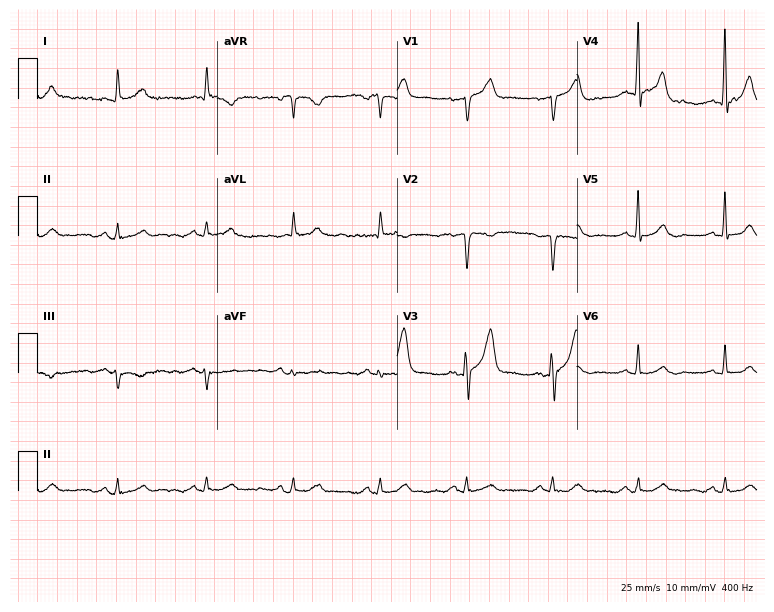
Electrocardiogram, a male, 83 years old. Of the six screened findings (first-degree AV block, right bundle branch block, left bundle branch block, sinus bradycardia, atrial fibrillation, sinus tachycardia), none is recorded.